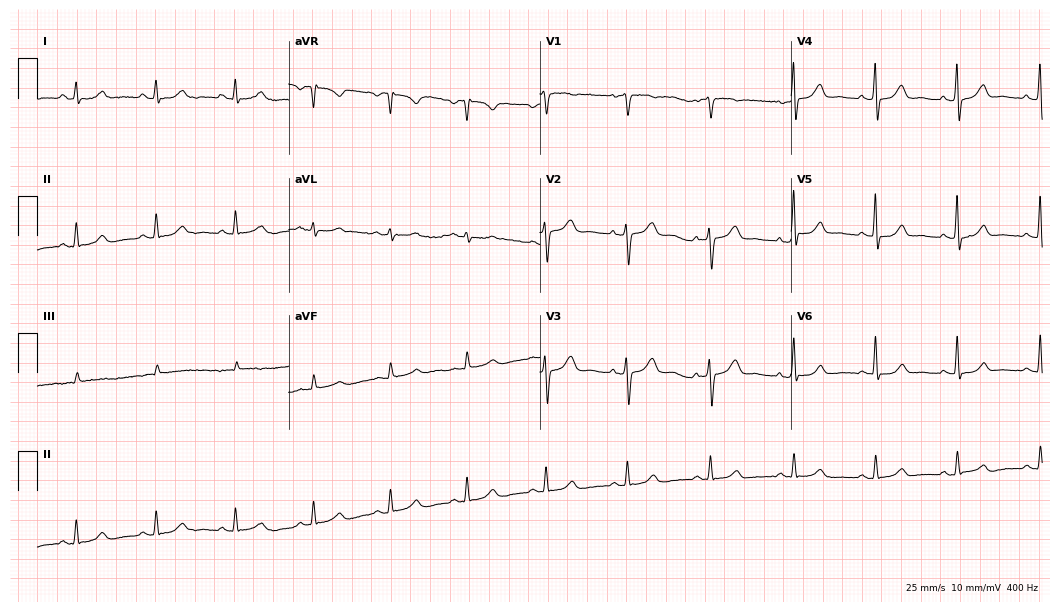
Resting 12-lead electrocardiogram. Patient: a female, 48 years old. Read as a normal ECG.